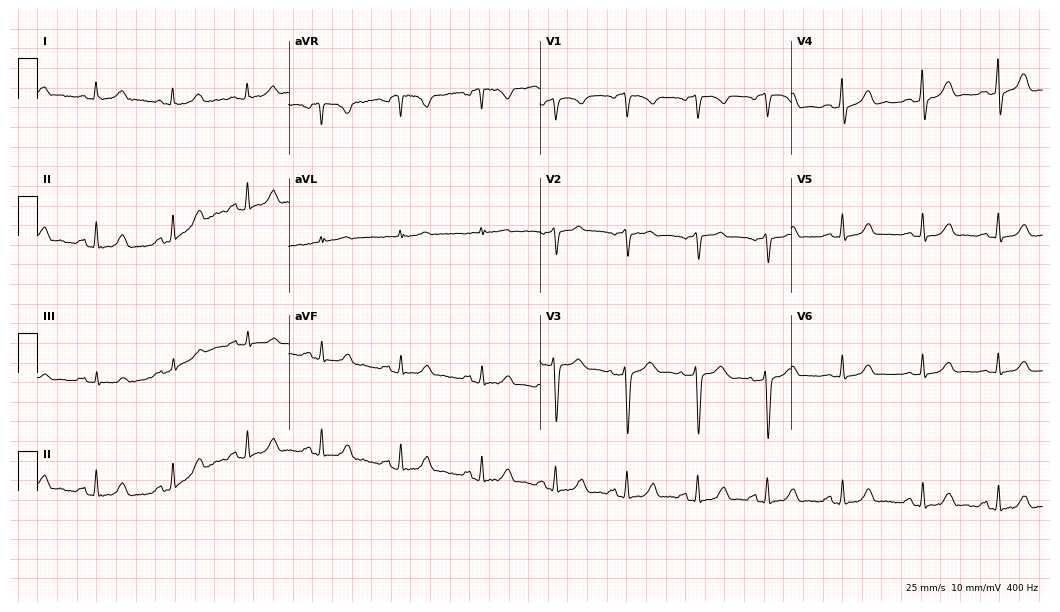
12-lead ECG from a female patient, 28 years old. Labelled as a normal ECG.